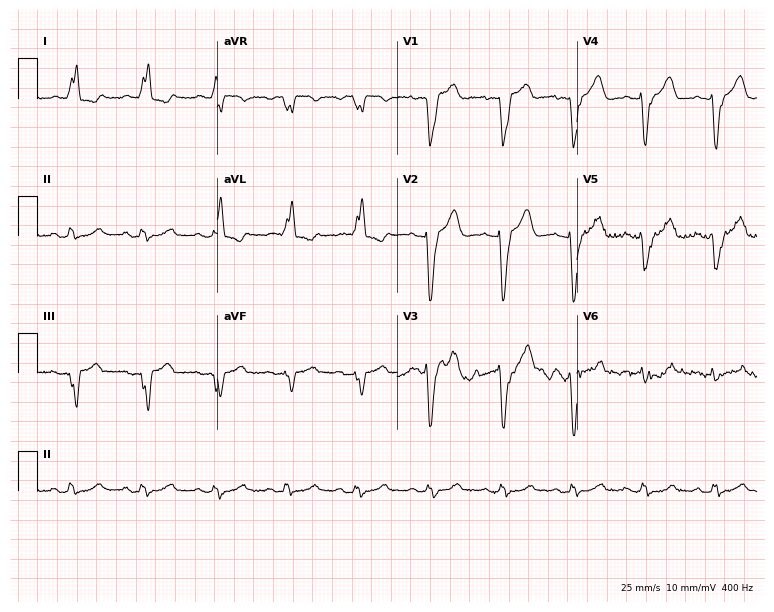
12-lead ECG (7.3-second recording at 400 Hz) from a 79-year-old female. Findings include left bundle branch block.